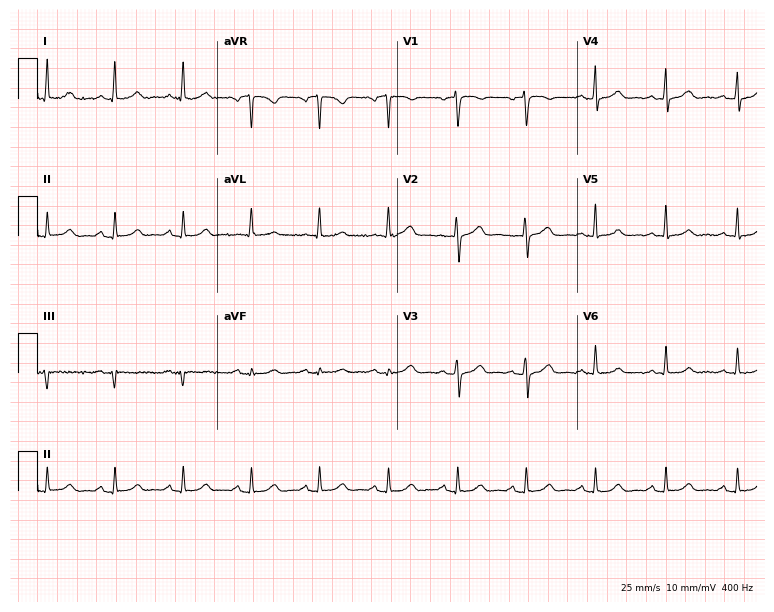
12-lead ECG from a female patient, 60 years old (7.3-second recording at 400 Hz). Recorded interpretation: within normal limits.